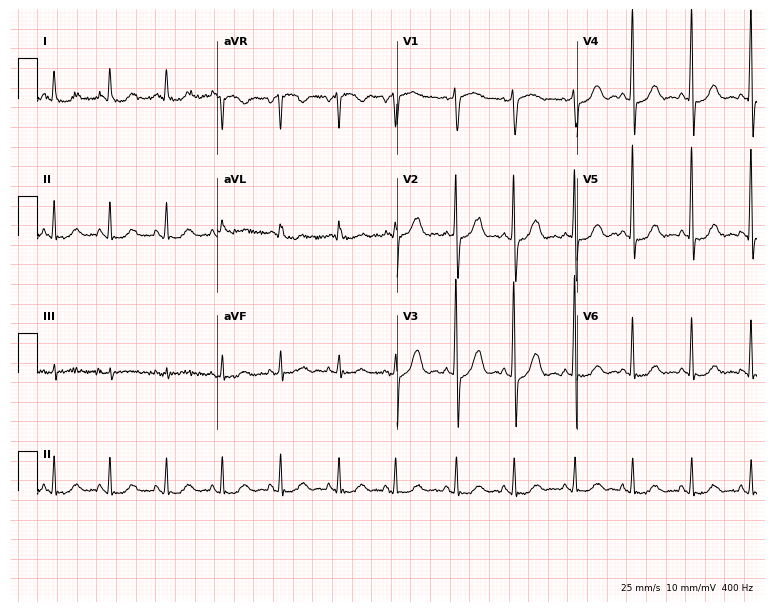
Electrocardiogram (7.3-second recording at 400 Hz), a male, 72 years old. Interpretation includes sinus tachycardia (a sinus rate of 100 beats per minute or more).